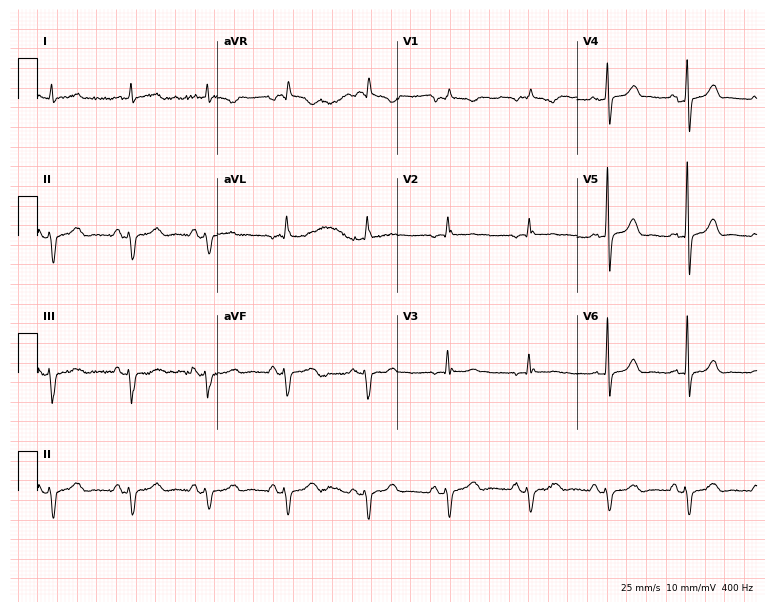
Electrocardiogram, a male, 70 years old. Of the six screened findings (first-degree AV block, right bundle branch block, left bundle branch block, sinus bradycardia, atrial fibrillation, sinus tachycardia), none is recorded.